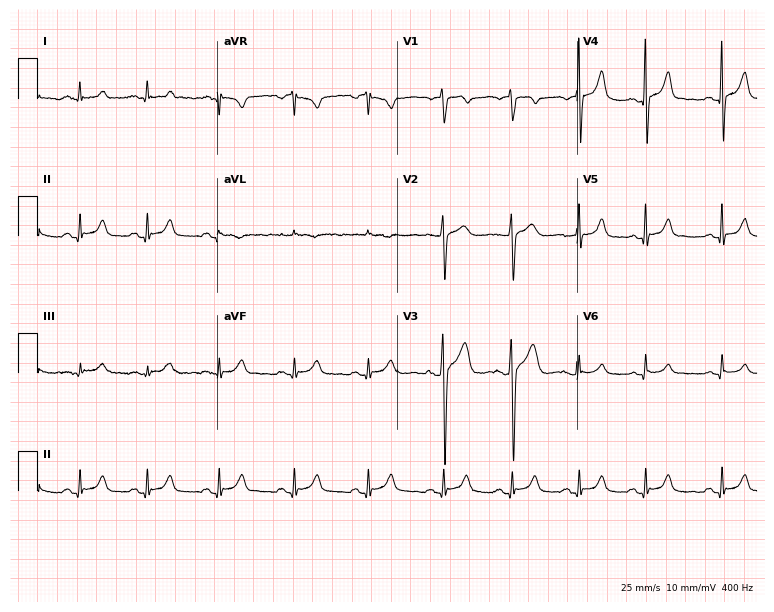
Electrocardiogram, a man, 32 years old. Overall reading on record: normal ECG.